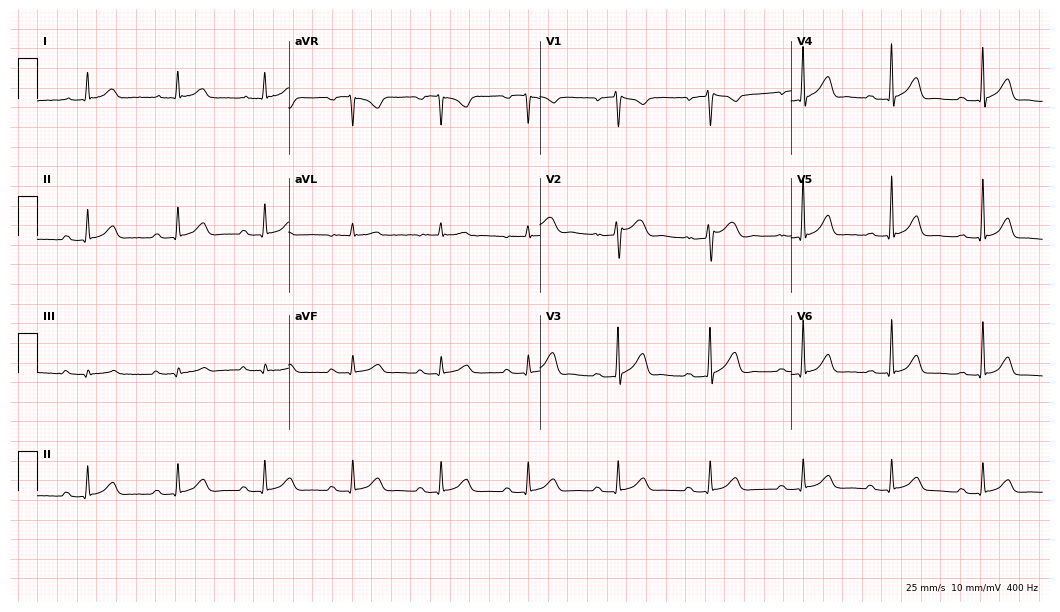
Electrocardiogram, a man, 53 years old. Interpretation includes first-degree AV block.